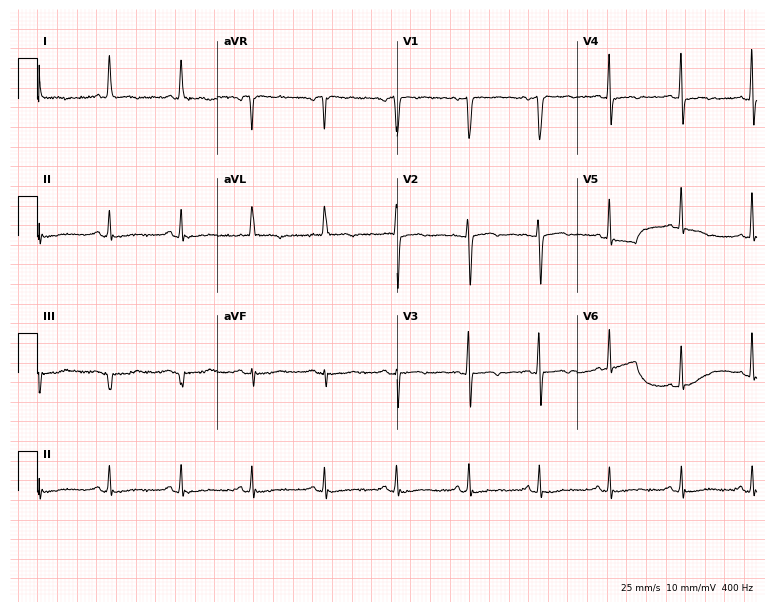
Standard 12-lead ECG recorded from an 81-year-old woman (7.3-second recording at 400 Hz). None of these six findings is recorded: first-degree AV block, right bundle branch block (RBBB), left bundle branch block (LBBB), sinus bradycardia, atrial fibrillation (AF), sinus tachycardia.